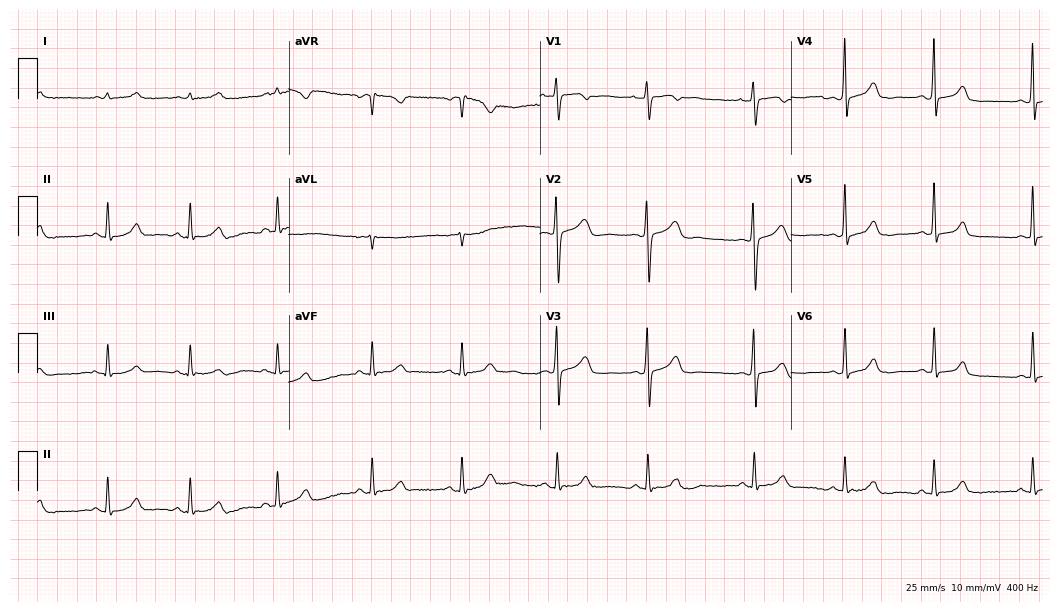
Resting 12-lead electrocardiogram. Patient: a 26-year-old female. Read as a normal ECG.